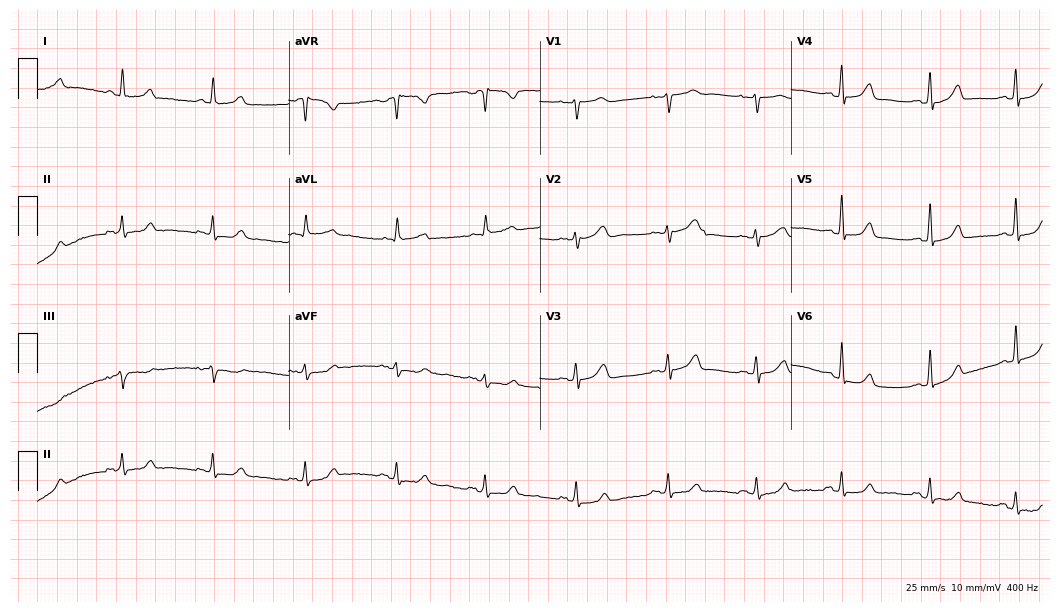
12-lead ECG from a 44-year-old woman. Recorded interpretation: within normal limits.